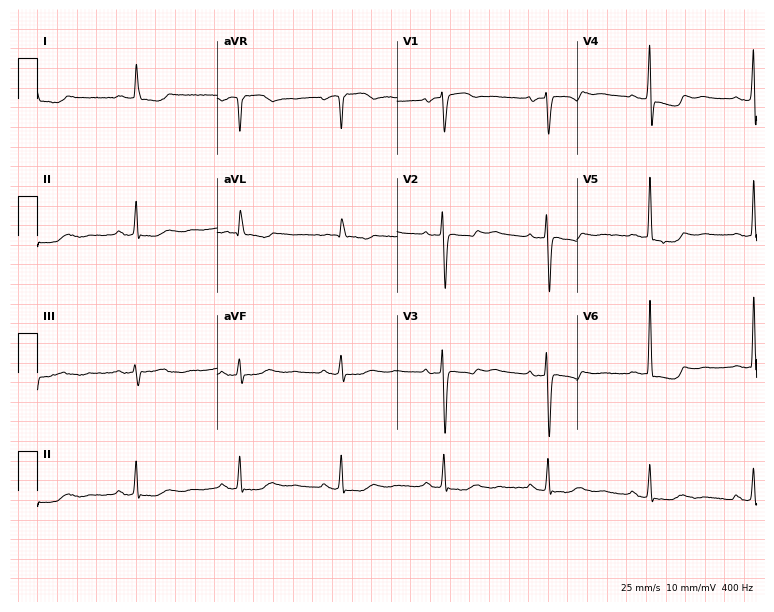
12-lead ECG (7.3-second recording at 400 Hz) from a female, 75 years old. Screened for six findings — first-degree AV block, right bundle branch block, left bundle branch block, sinus bradycardia, atrial fibrillation, sinus tachycardia — none is recorded.